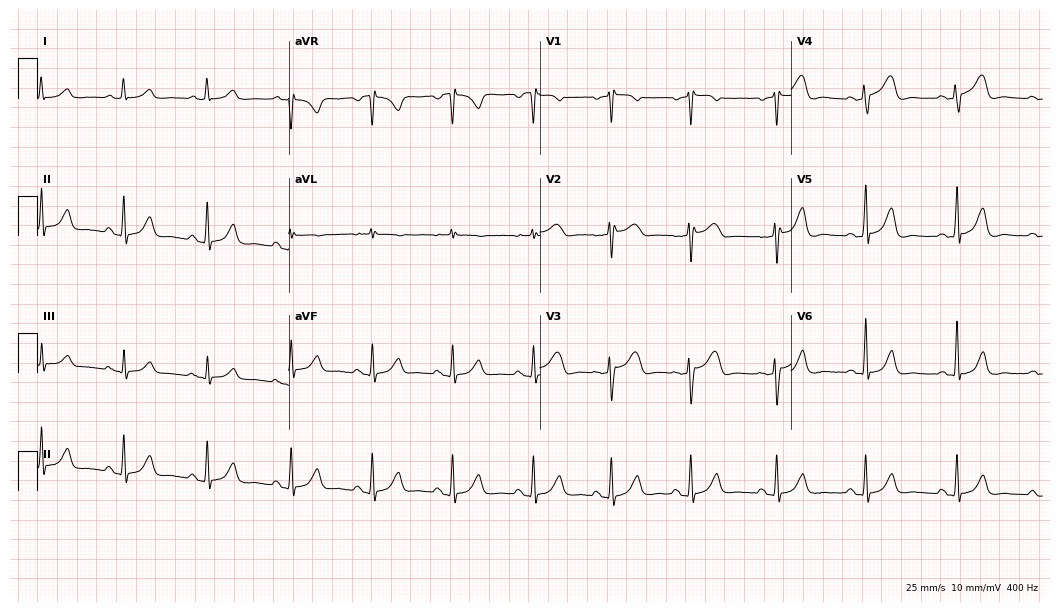
Standard 12-lead ECG recorded from a woman, 68 years old. None of these six findings is recorded: first-degree AV block, right bundle branch block (RBBB), left bundle branch block (LBBB), sinus bradycardia, atrial fibrillation (AF), sinus tachycardia. Findings outside these six are not listed.